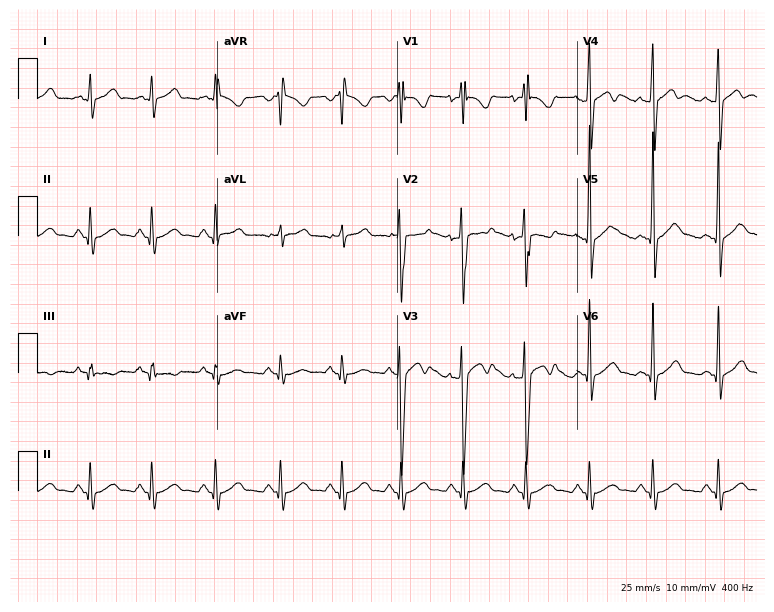
ECG (7.3-second recording at 400 Hz) — a man, 21 years old. Screened for six findings — first-degree AV block, right bundle branch block, left bundle branch block, sinus bradycardia, atrial fibrillation, sinus tachycardia — none is recorded. Only these six findings were labelled.